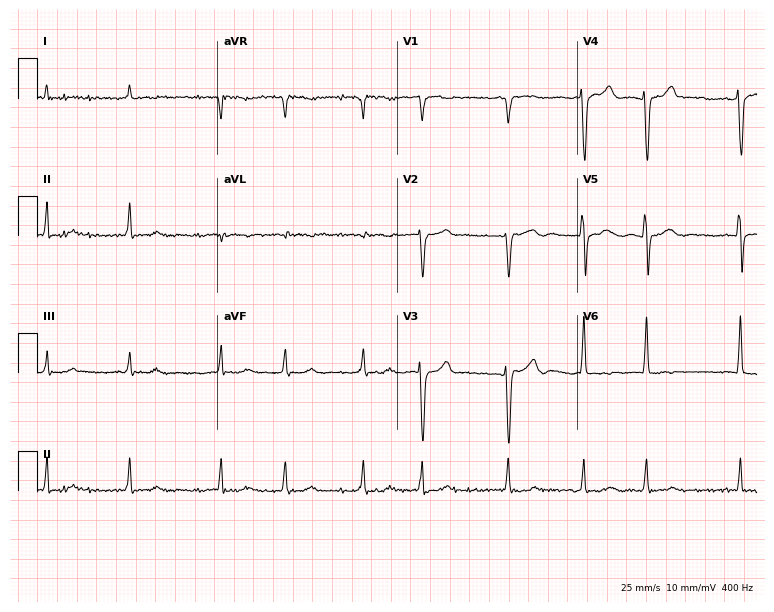
12-lead ECG (7.3-second recording at 400 Hz) from a male patient, 77 years old. Findings include atrial fibrillation.